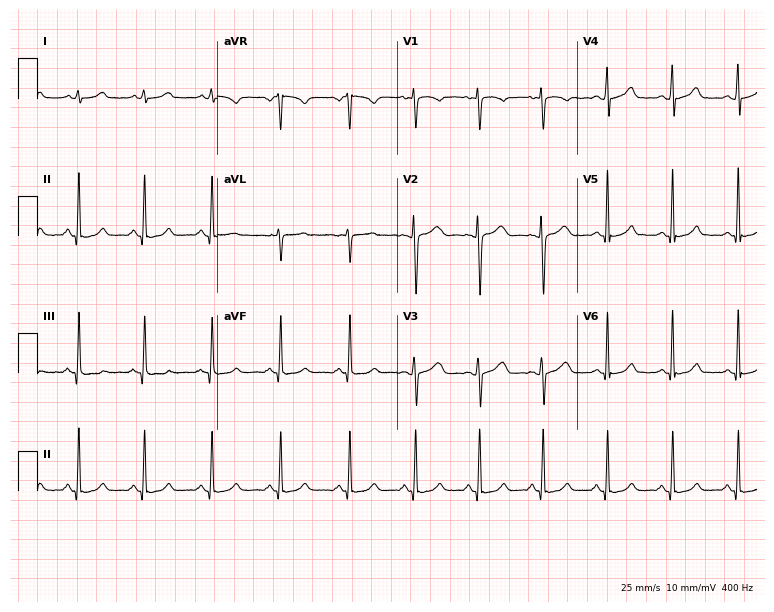
Resting 12-lead electrocardiogram. Patient: a 34-year-old female. Read as a normal ECG.